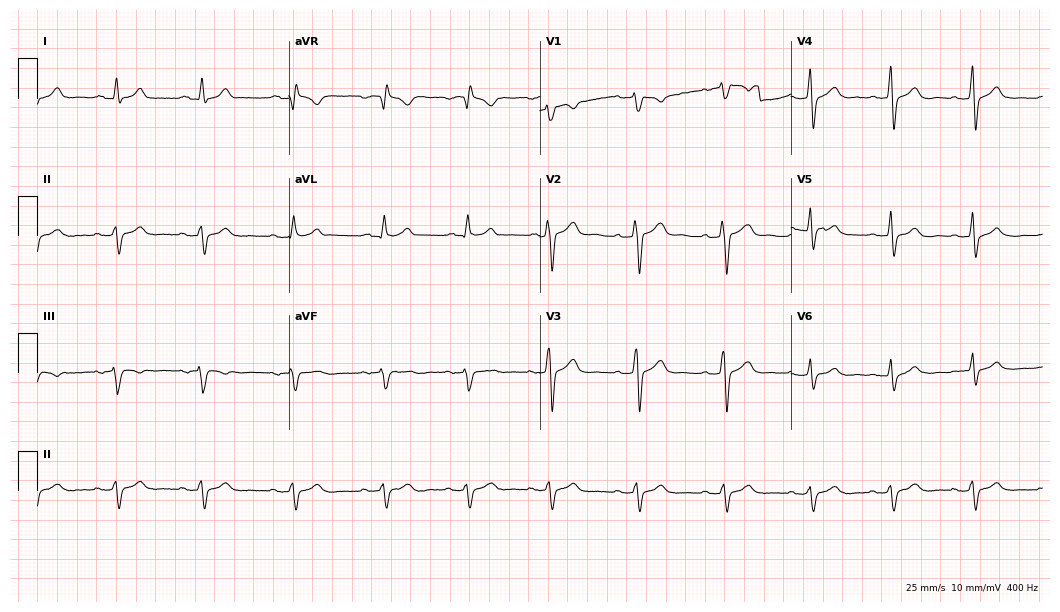
Standard 12-lead ECG recorded from a 41-year-old male patient. None of these six findings is recorded: first-degree AV block, right bundle branch block, left bundle branch block, sinus bradycardia, atrial fibrillation, sinus tachycardia. Other findings, if any, are not listed.